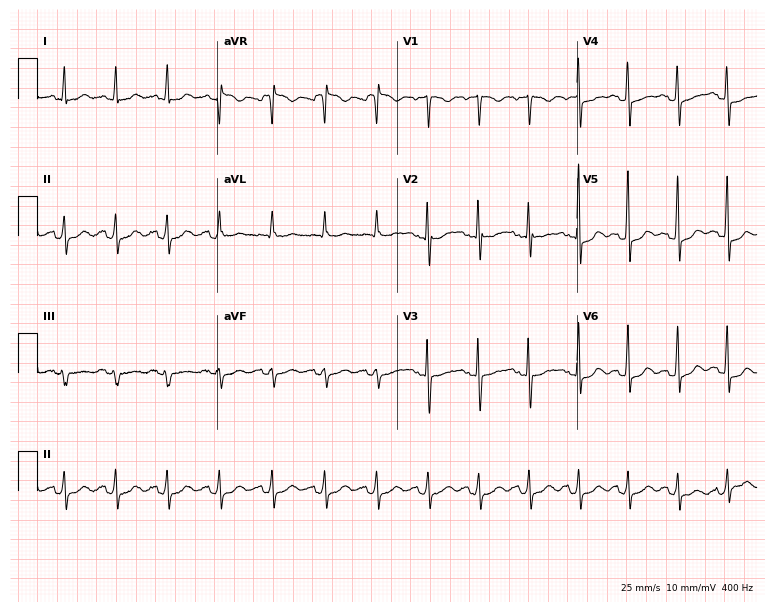
Electrocardiogram, a 37-year-old female. Interpretation includes sinus tachycardia (a sinus rate of 100 beats per minute or more).